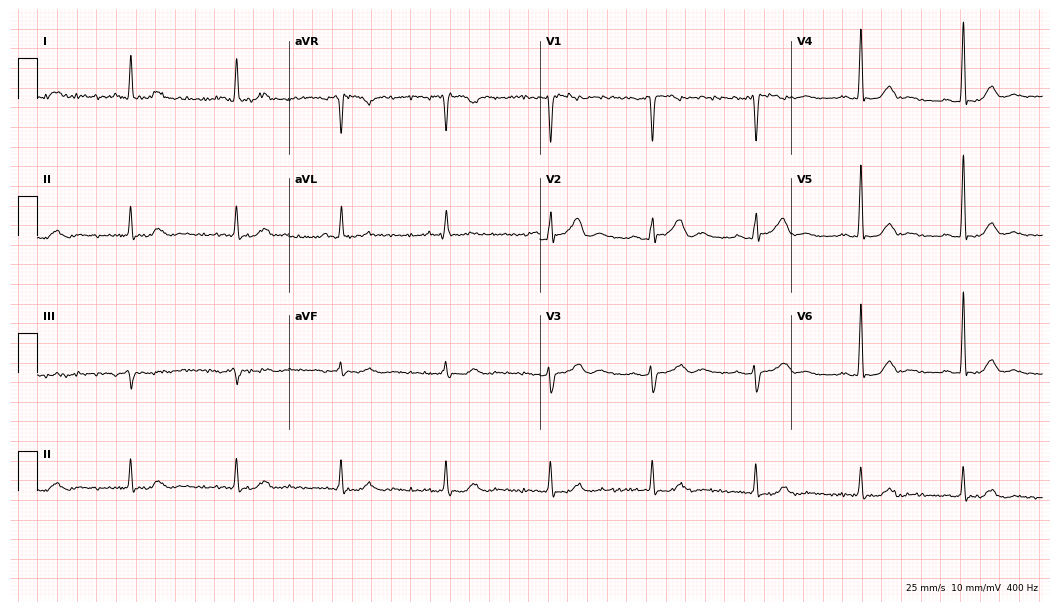
Standard 12-lead ECG recorded from a male, 63 years old. Read as a normal ECG.